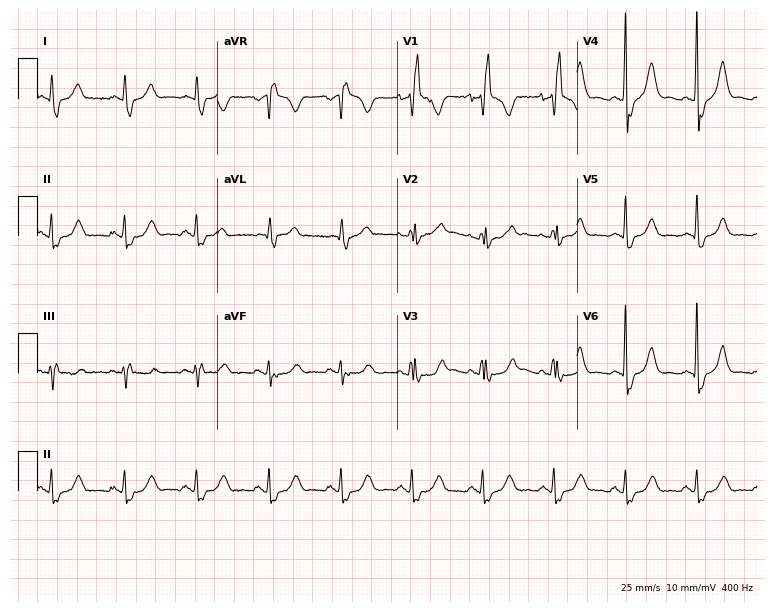
12-lead ECG from a 68-year-old woman. Shows right bundle branch block.